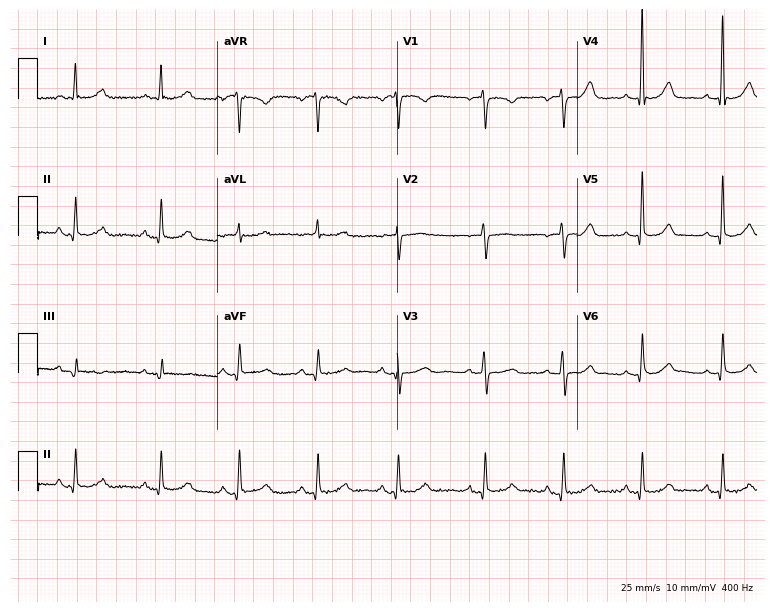
12-lead ECG from a 67-year-old female patient. Labelled as a normal ECG.